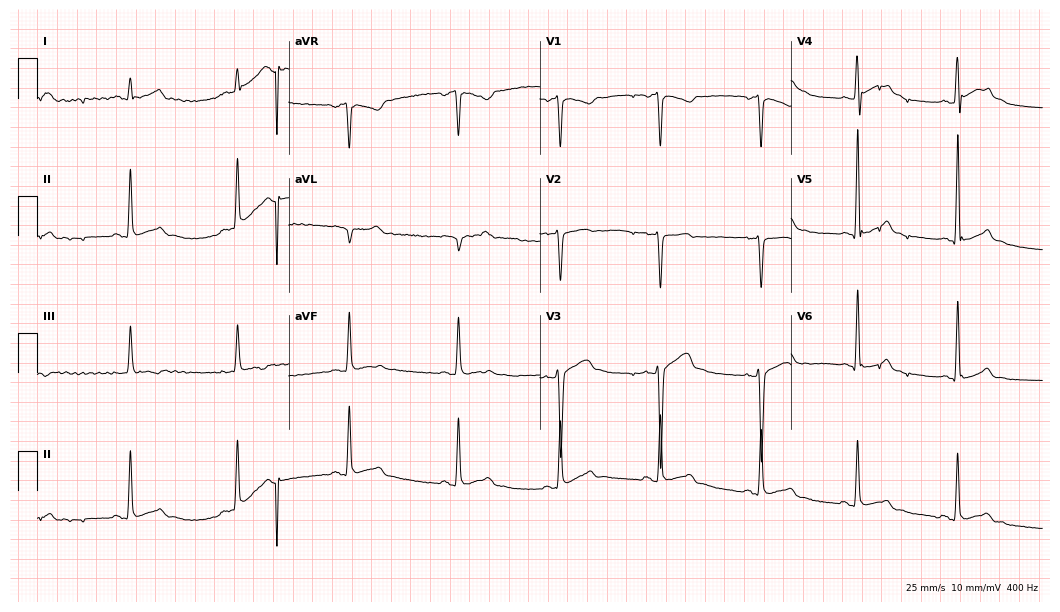
12-lead ECG from a male patient, 21 years old (10.2-second recording at 400 Hz). No first-degree AV block, right bundle branch block (RBBB), left bundle branch block (LBBB), sinus bradycardia, atrial fibrillation (AF) or sinus tachycardia recorded for this tracing. Other findings, if any, are not listed.